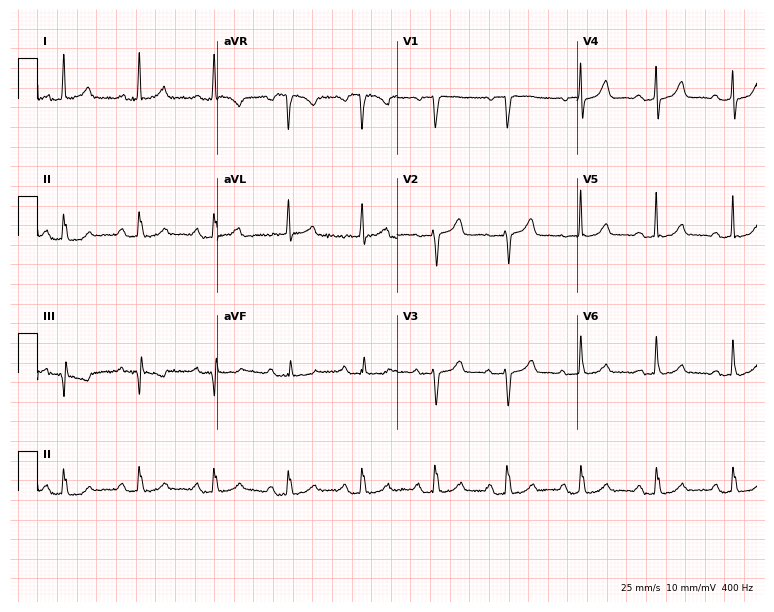
Electrocardiogram (7.3-second recording at 400 Hz), a 76-year-old female. Of the six screened findings (first-degree AV block, right bundle branch block, left bundle branch block, sinus bradycardia, atrial fibrillation, sinus tachycardia), none is recorded.